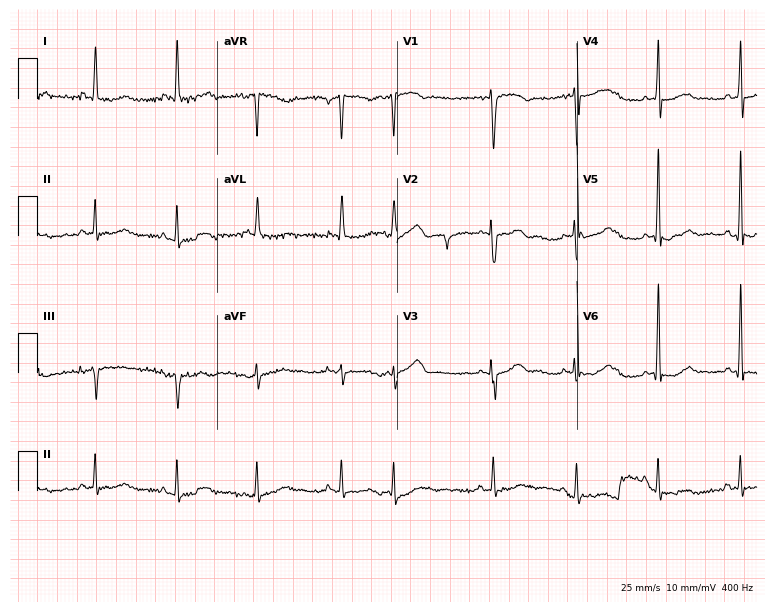
Standard 12-lead ECG recorded from a female patient, 75 years old (7.3-second recording at 400 Hz). None of these six findings is recorded: first-degree AV block, right bundle branch block (RBBB), left bundle branch block (LBBB), sinus bradycardia, atrial fibrillation (AF), sinus tachycardia. Only these six findings were labelled.